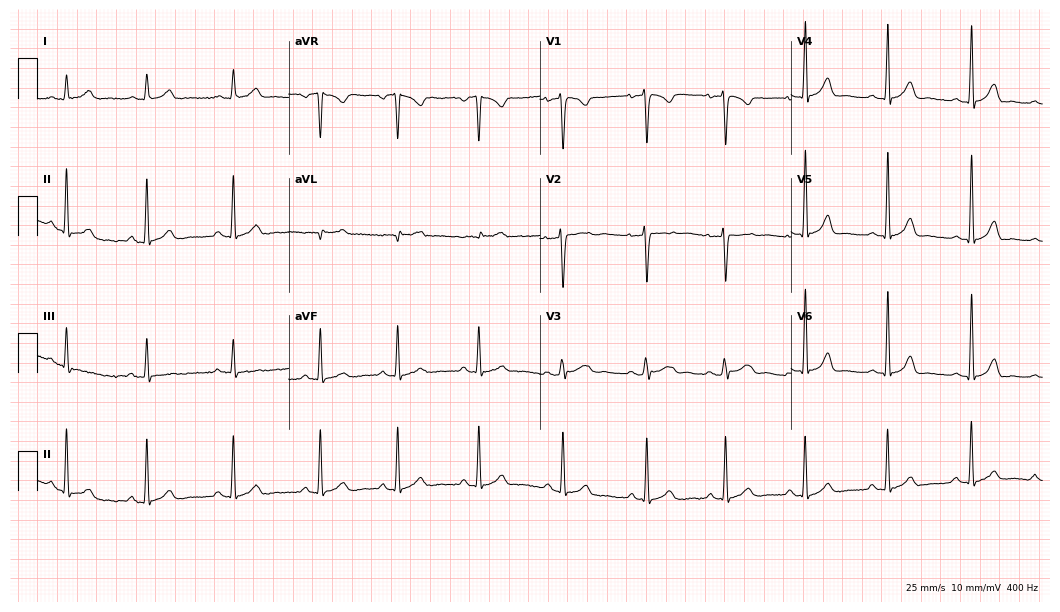
ECG — a woman, 22 years old. Labelled as a normal ECG.